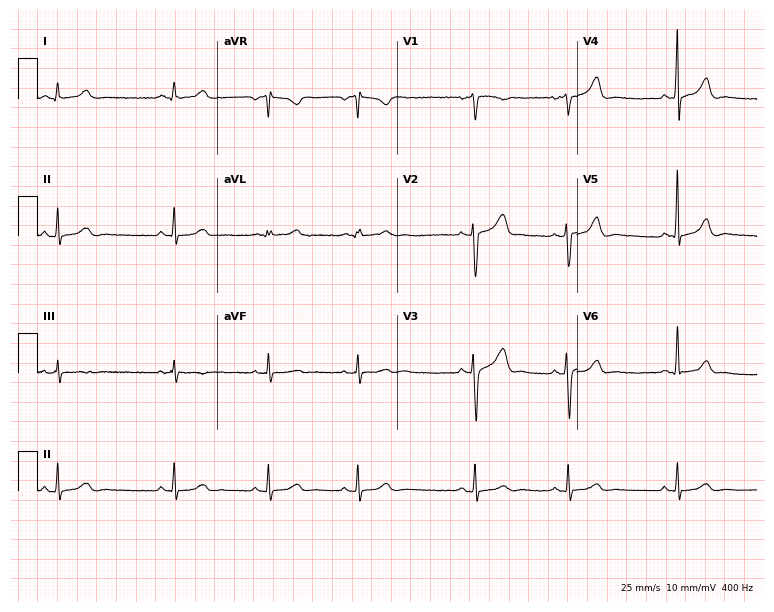
Standard 12-lead ECG recorded from a female patient, 24 years old. Read as a normal ECG.